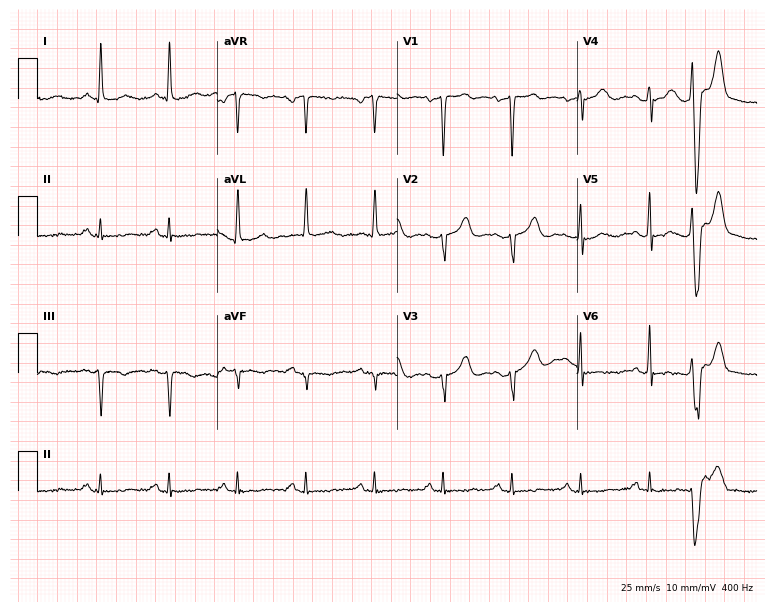
Standard 12-lead ECG recorded from an 83-year-old male. None of these six findings is recorded: first-degree AV block, right bundle branch block, left bundle branch block, sinus bradycardia, atrial fibrillation, sinus tachycardia. Only these six findings were labelled.